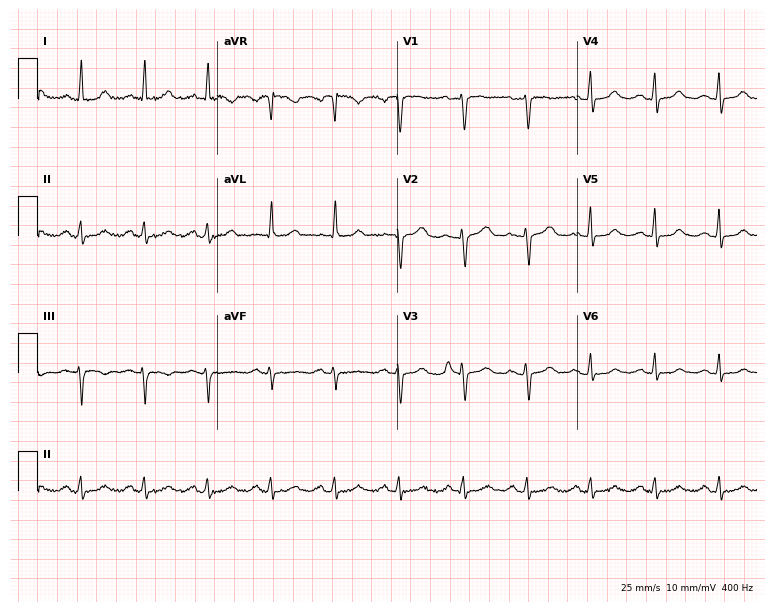
Resting 12-lead electrocardiogram. Patient: a 50-year-old female. Read as a normal ECG.